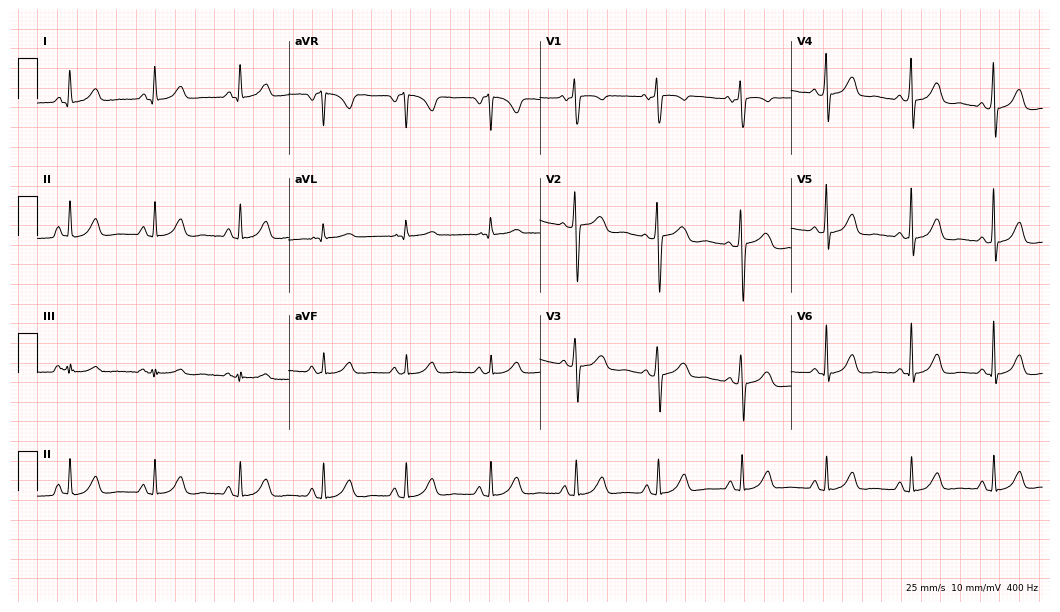
Resting 12-lead electrocardiogram (10.2-second recording at 400 Hz). Patient: a 54-year-old female. Read as a normal ECG.